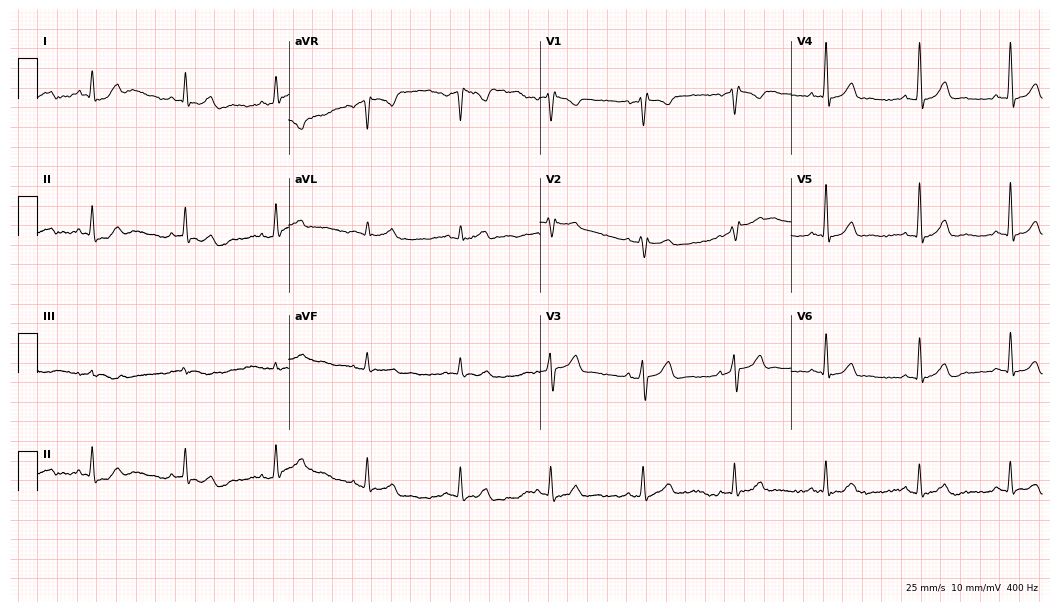
Standard 12-lead ECG recorded from a 49-year-old male patient (10.2-second recording at 400 Hz). Read as a normal ECG.